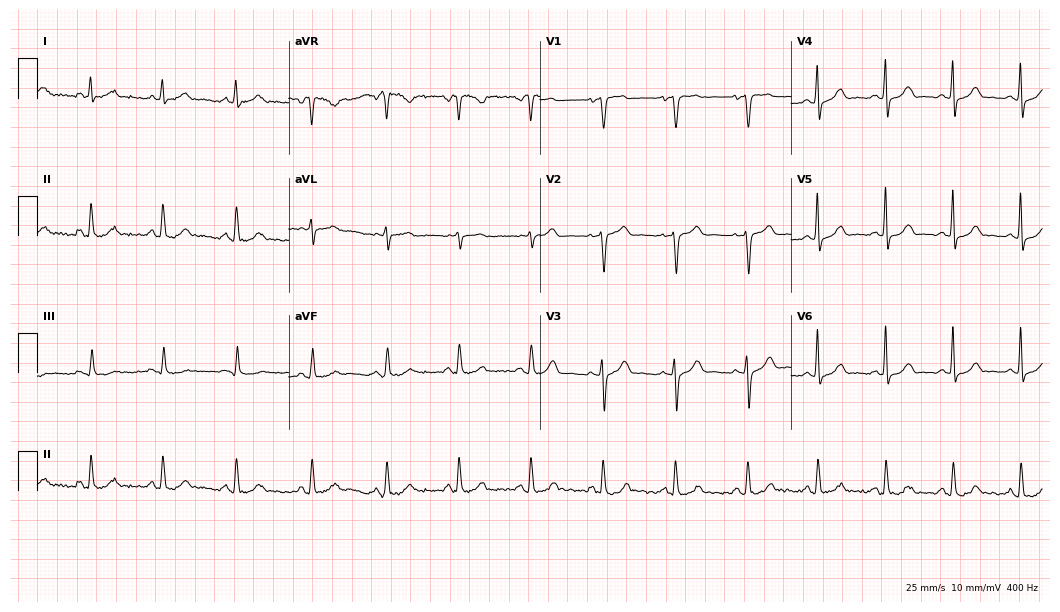
12-lead ECG from a 49-year-old female patient. Recorded interpretation: within normal limits.